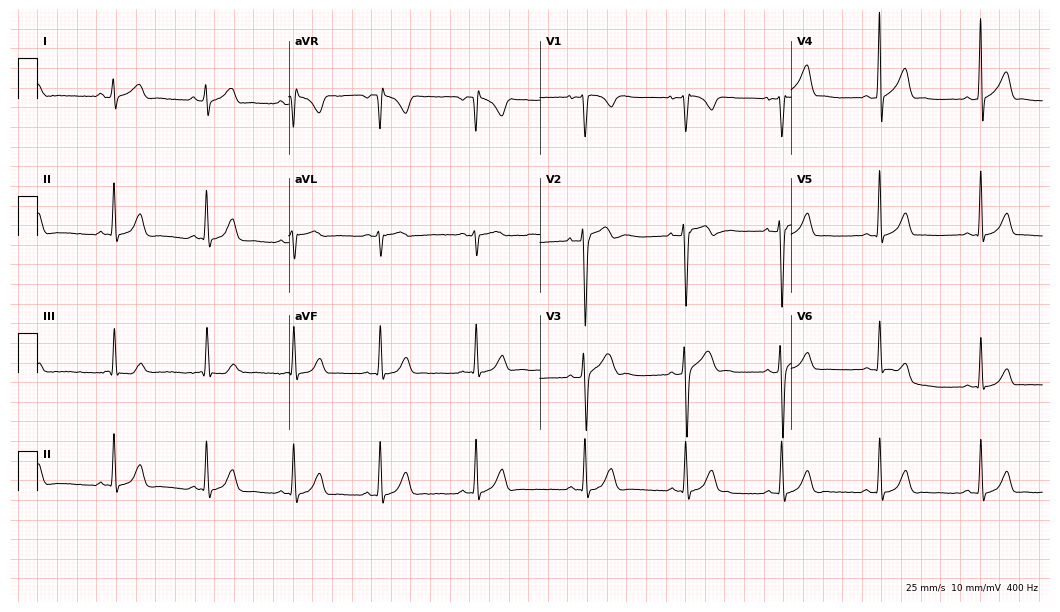
Standard 12-lead ECG recorded from an 18-year-old male (10.2-second recording at 400 Hz). None of these six findings is recorded: first-degree AV block, right bundle branch block (RBBB), left bundle branch block (LBBB), sinus bradycardia, atrial fibrillation (AF), sinus tachycardia.